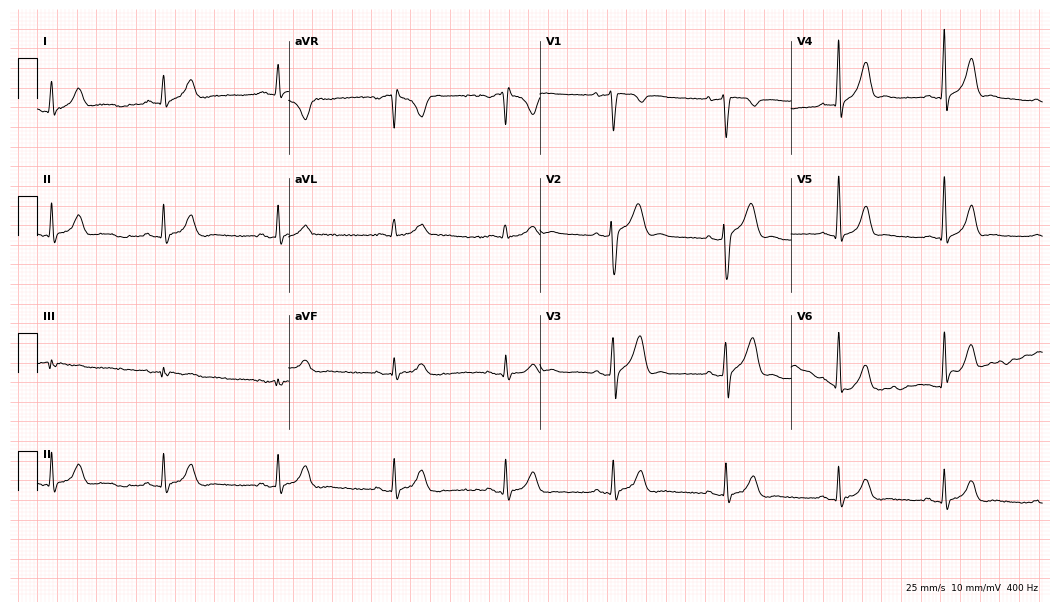
12-lead ECG (10.2-second recording at 400 Hz) from a 28-year-old man. Labelled as a normal ECG.